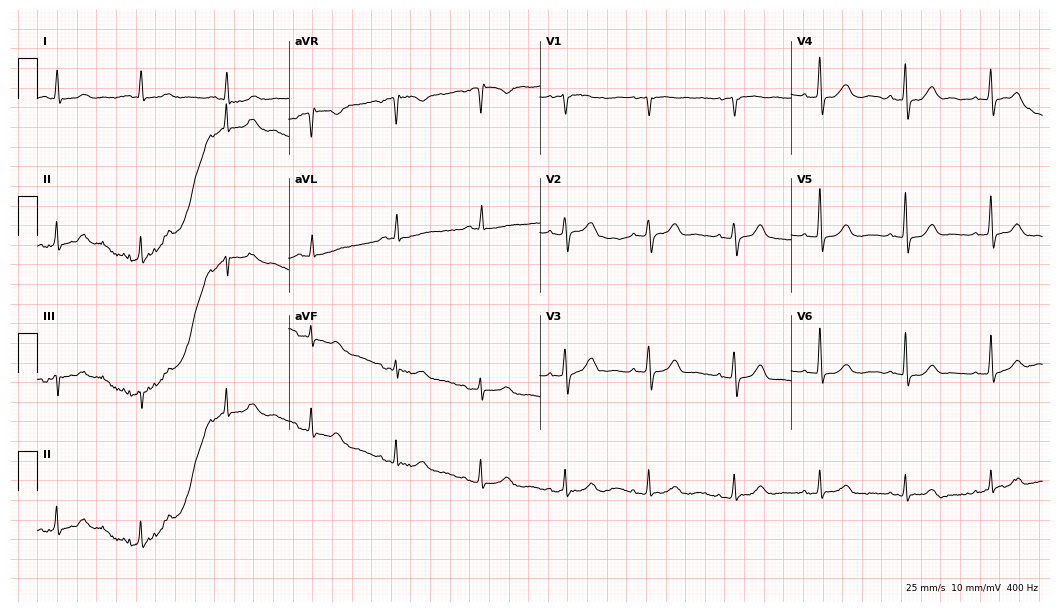
Standard 12-lead ECG recorded from an 81-year-old female patient. Read as a normal ECG.